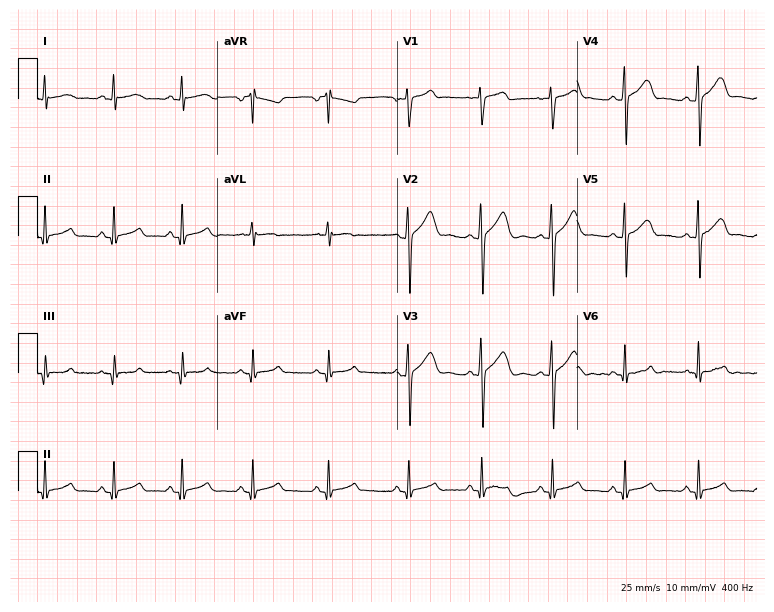
Resting 12-lead electrocardiogram (7.3-second recording at 400 Hz). Patient: a 36-year-old man. Read as a normal ECG.